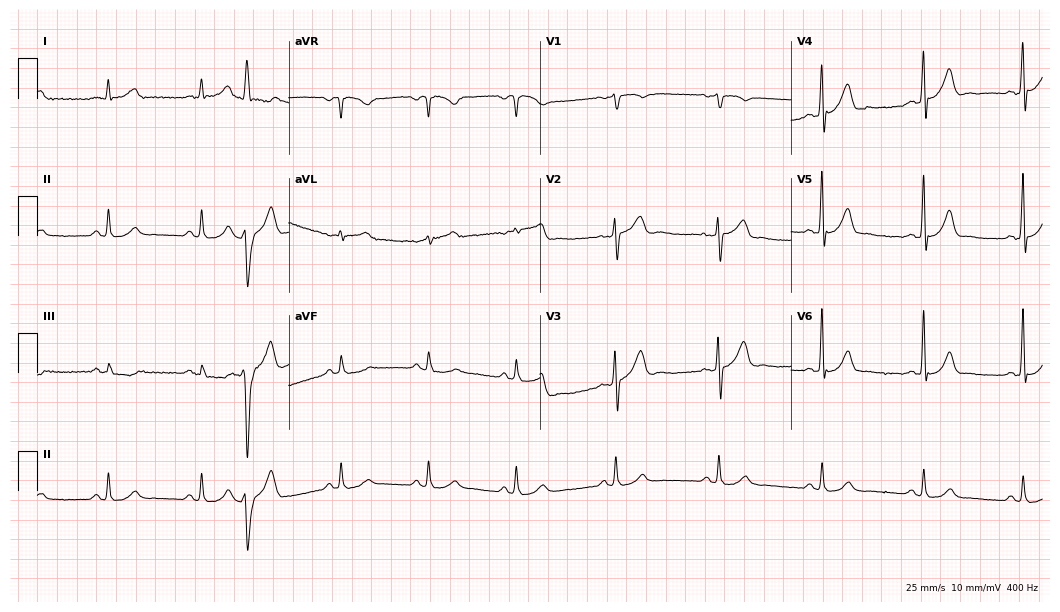
Resting 12-lead electrocardiogram. Patient: a 47-year-old male. None of these six findings is recorded: first-degree AV block, right bundle branch block (RBBB), left bundle branch block (LBBB), sinus bradycardia, atrial fibrillation (AF), sinus tachycardia. Other findings, if any, are not listed.